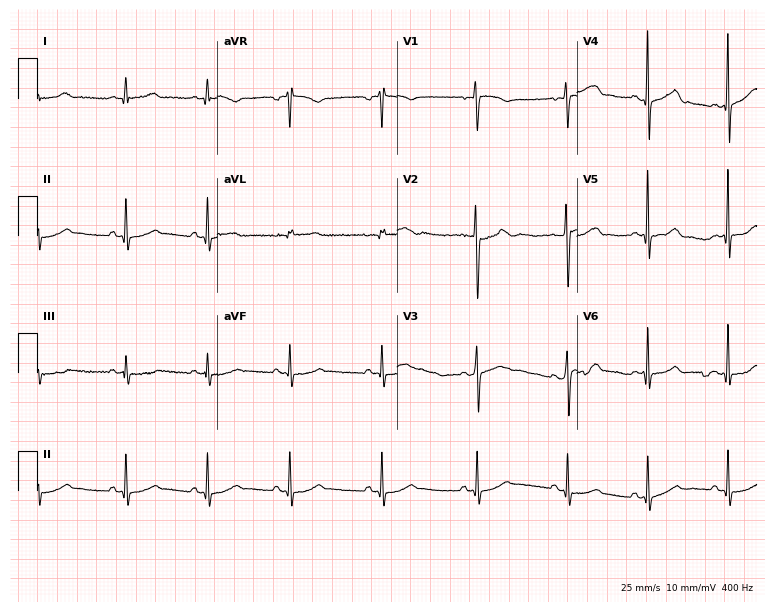
Resting 12-lead electrocardiogram (7.3-second recording at 400 Hz). Patient: a female, 26 years old. Read as a normal ECG.